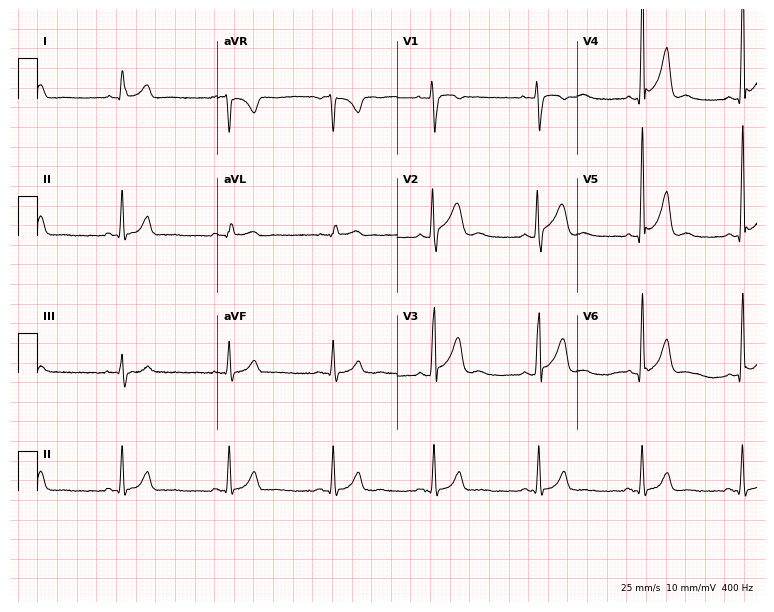
12-lead ECG from a male, 20 years old. Labelled as a normal ECG.